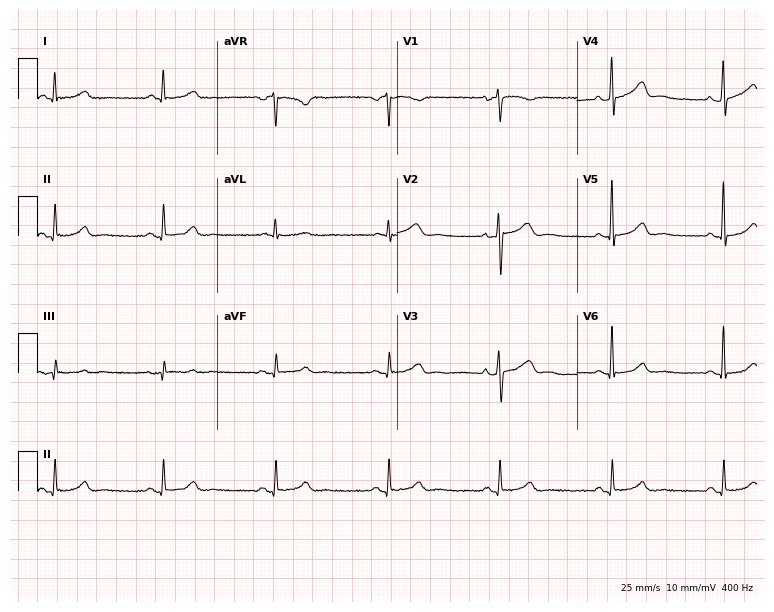
ECG — a 58-year-old female. Labelled as a normal ECG.